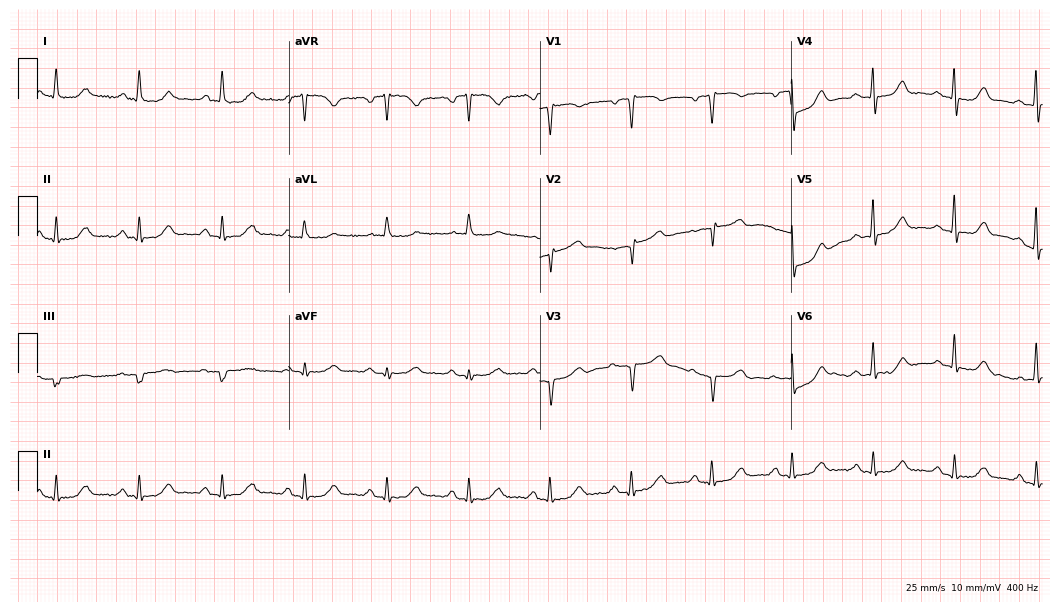
Electrocardiogram (10.2-second recording at 400 Hz), a 78-year-old woman. Of the six screened findings (first-degree AV block, right bundle branch block, left bundle branch block, sinus bradycardia, atrial fibrillation, sinus tachycardia), none is recorded. Other findings, if any, are not listed.